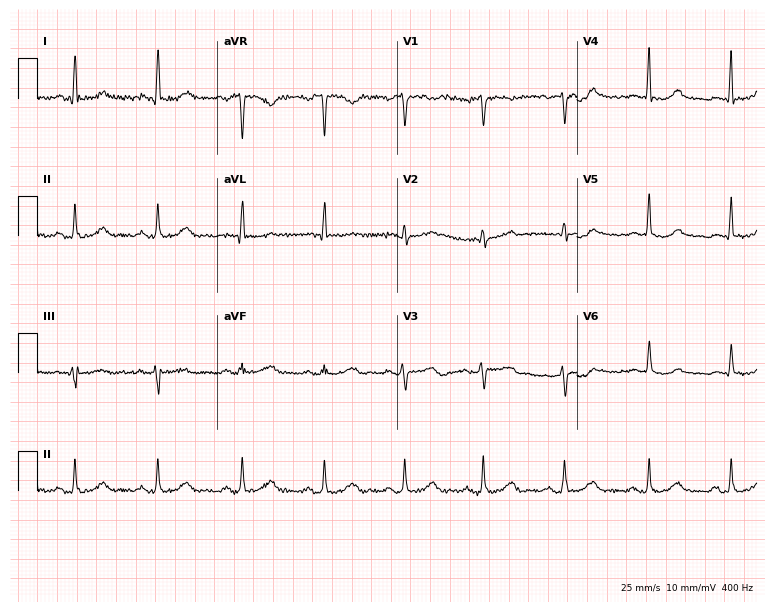
Resting 12-lead electrocardiogram. Patient: a woman, 57 years old. Read as a normal ECG.